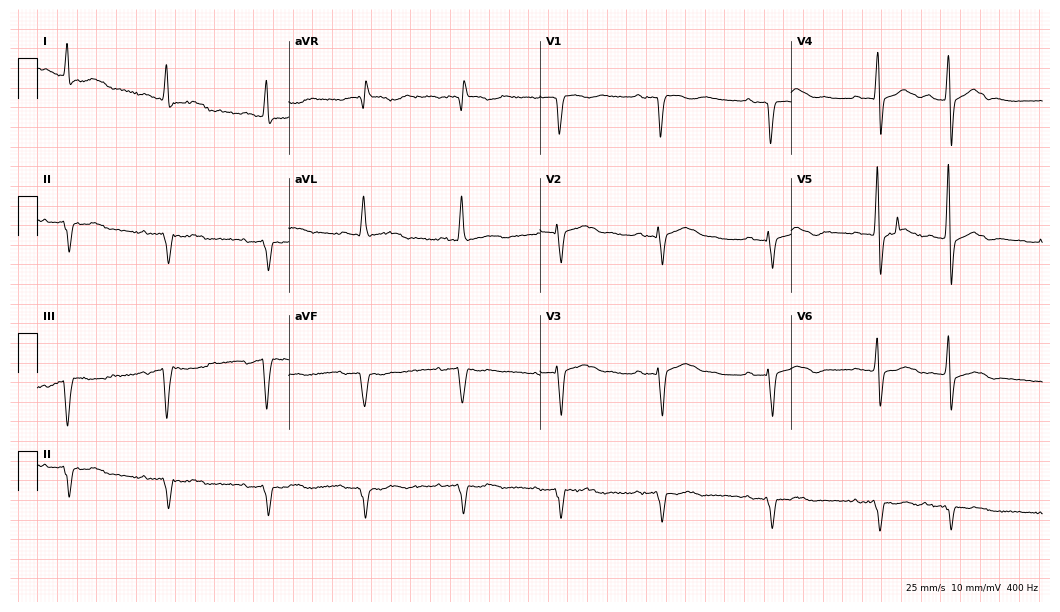
12-lead ECG from a male, 83 years old (10.2-second recording at 400 Hz). No first-degree AV block, right bundle branch block, left bundle branch block, sinus bradycardia, atrial fibrillation or sinus tachycardia recorded for this tracing. Only these six findings were labelled.